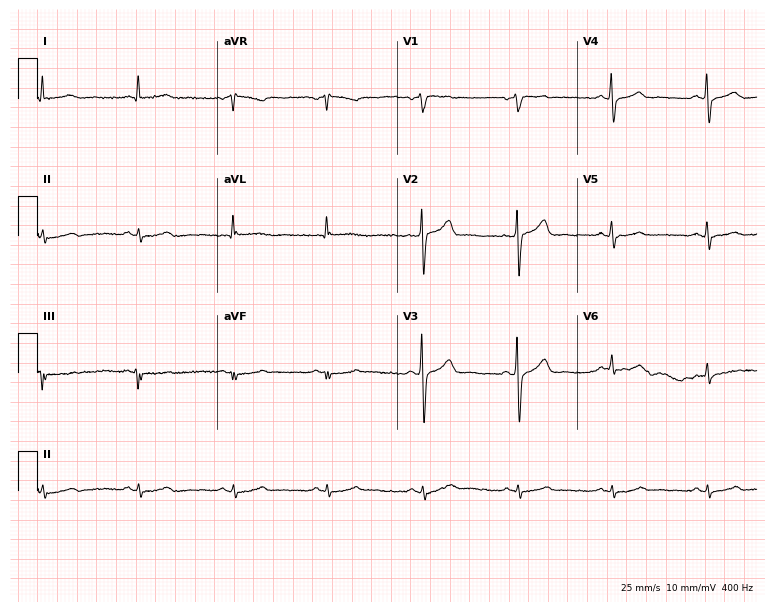
12-lead ECG from a man, 65 years old. Recorded interpretation: within normal limits.